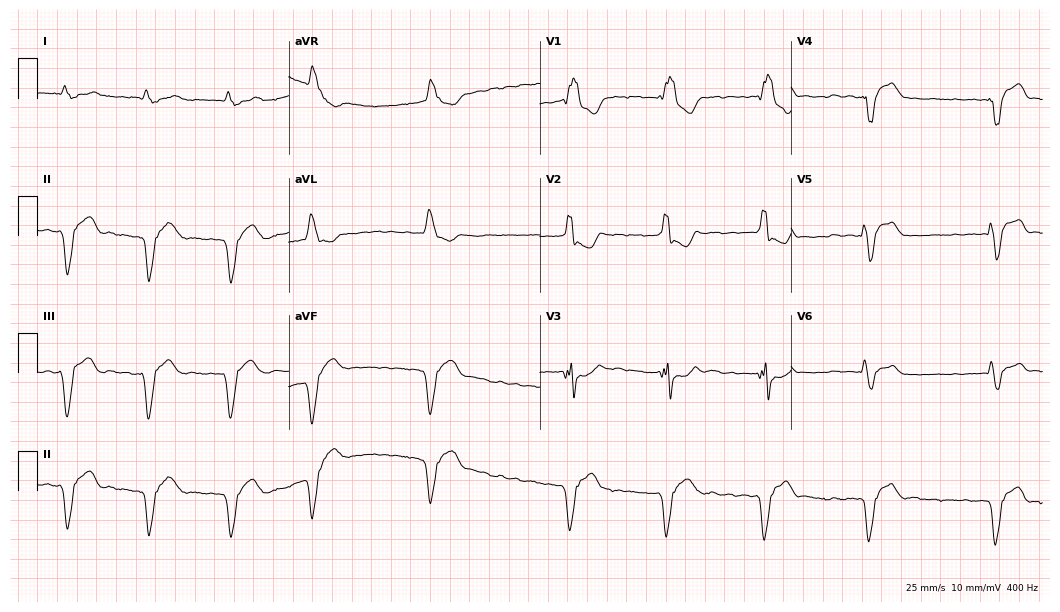
Standard 12-lead ECG recorded from a man, 78 years old. None of these six findings is recorded: first-degree AV block, right bundle branch block (RBBB), left bundle branch block (LBBB), sinus bradycardia, atrial fibrillation (AF), sinus tachycardia.